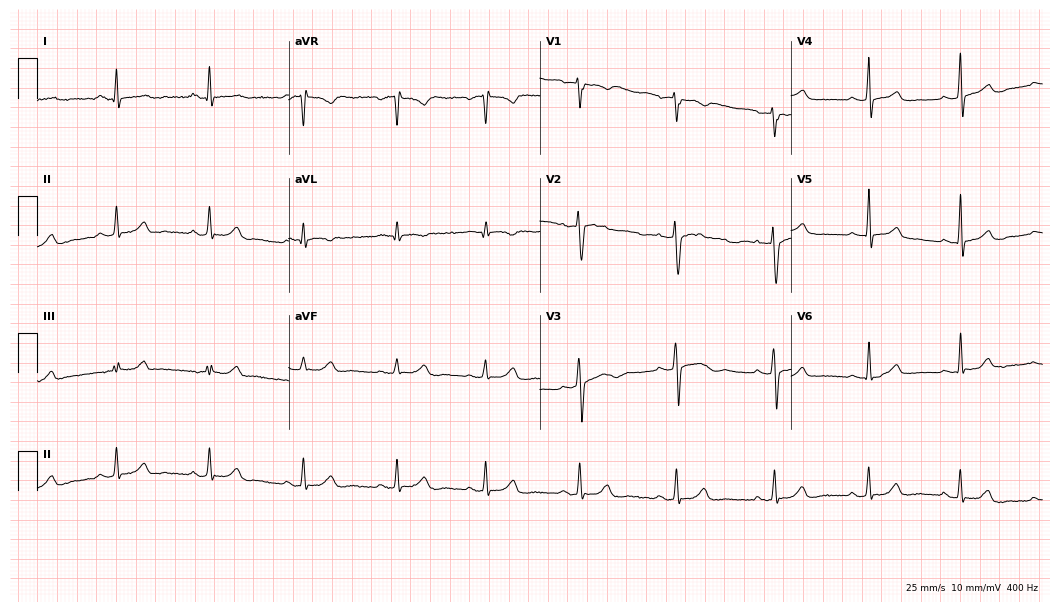
12-lead ECG from a 28-year-old woman (10.2-second recording at 400 Hz). No first-degree AV block, right bundle branch block, left bundle branch block, sinus bradycardia, atrial fibrillation or sinus tachycardia recorded for this tracing. Other findings, if any, are not listed.